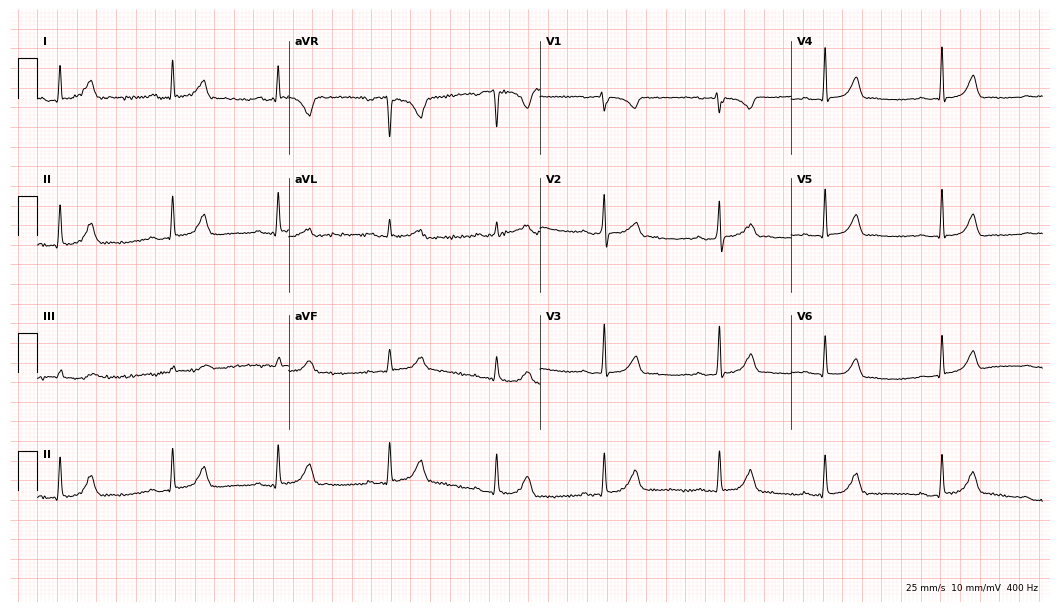
12-lead ECG (10.2-second recording at 400 Hz) from a 31-year-old woman. Labelled as a normal ECG.